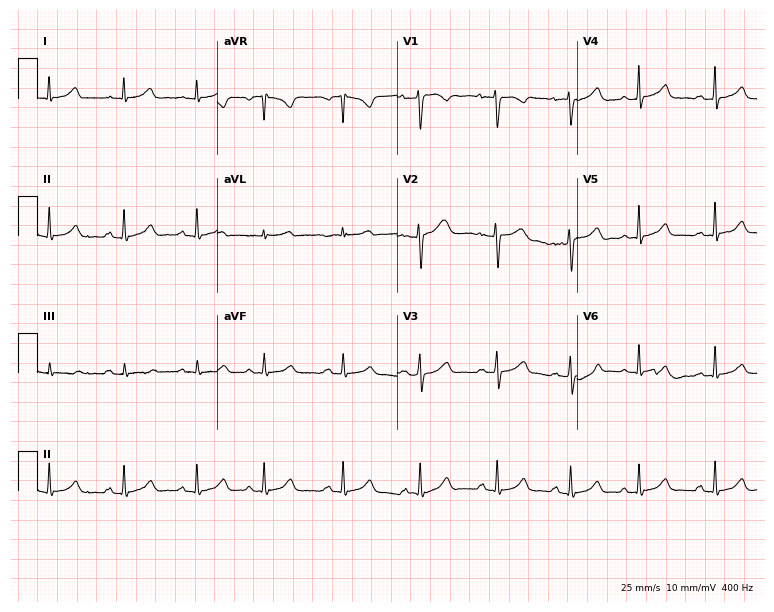
Electrocardiogram, a female patient, 27 years old. Overall reading on record: normal ECG.